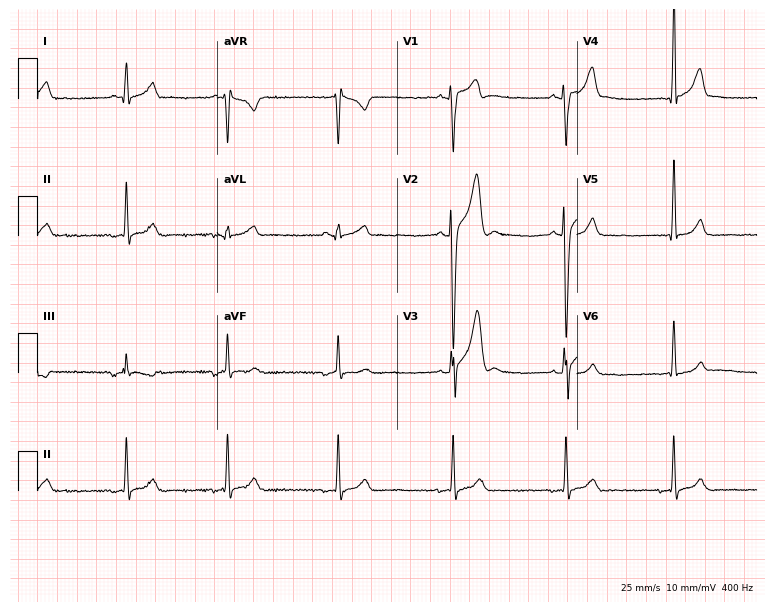
Standard 12-lead ECG recorded from an 18-year-old man. None of these six findings is recorded: first-degree AV block, right bundle branch block (RBBB), left bundle branch block (LBBB), sinus bradycardia, atrial fibrillation (AF), sinus tachycardia. Other findings, if any, are not listed.